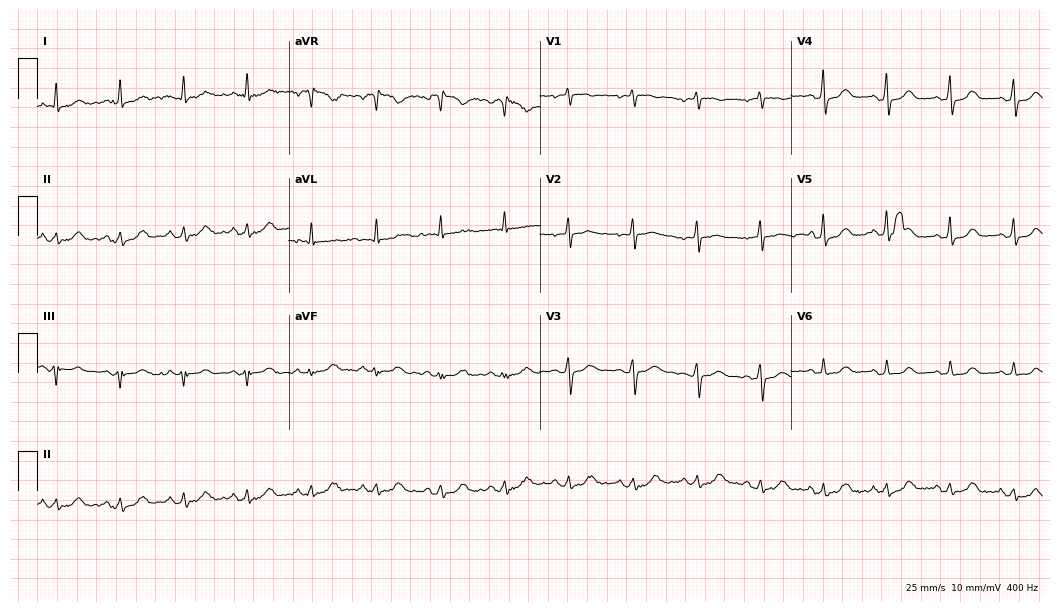
Standard 12-lead ECG recorded from a 64-year-old female patient (10.2-second recording at 400 Hz). Read as a normal ECG.